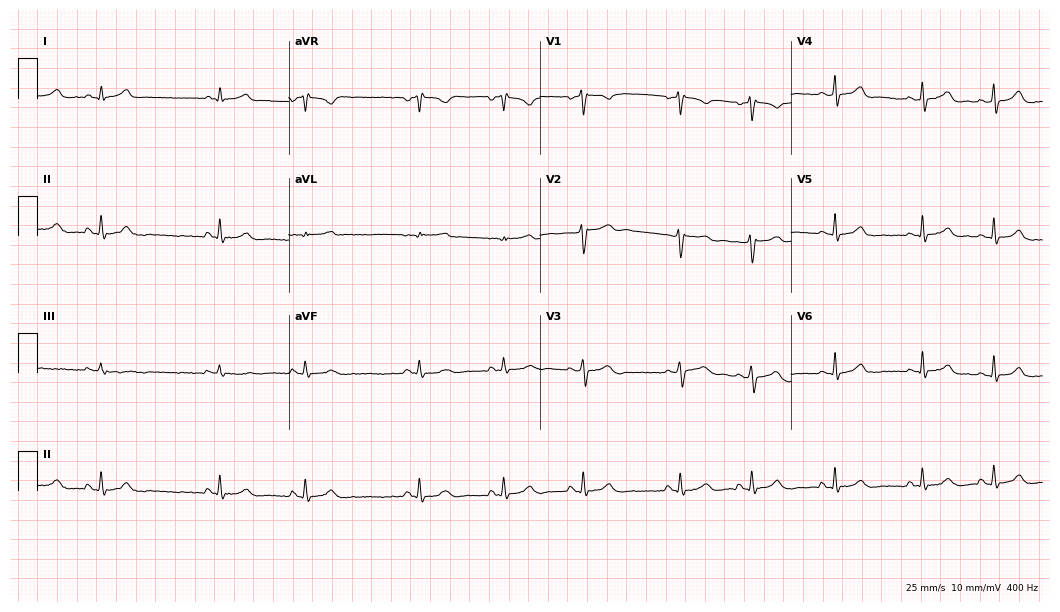
ECG (10.2-second recording at 400 Hz) — a 25-year-old woman. Labelled as a normal ECG.